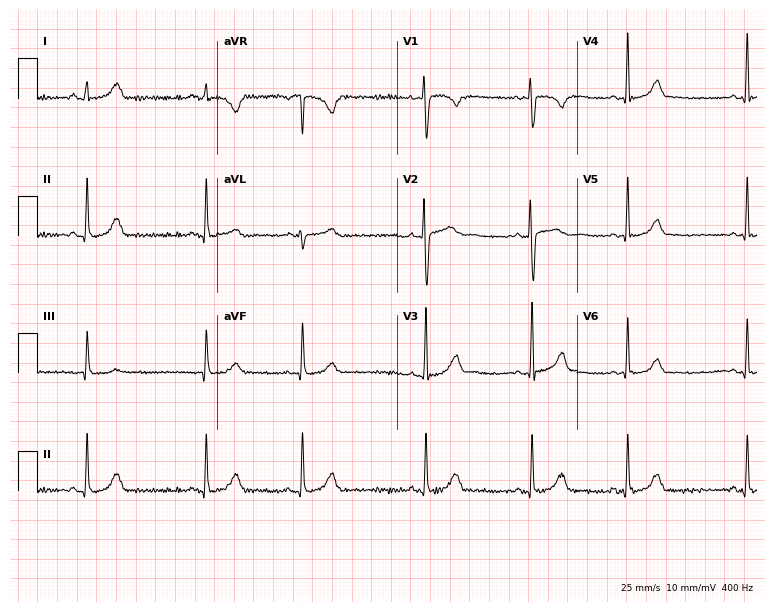
ECG (7.3-second recording at 400 Hz) — a 29-year-old woman. Labelled as a normal ECG.